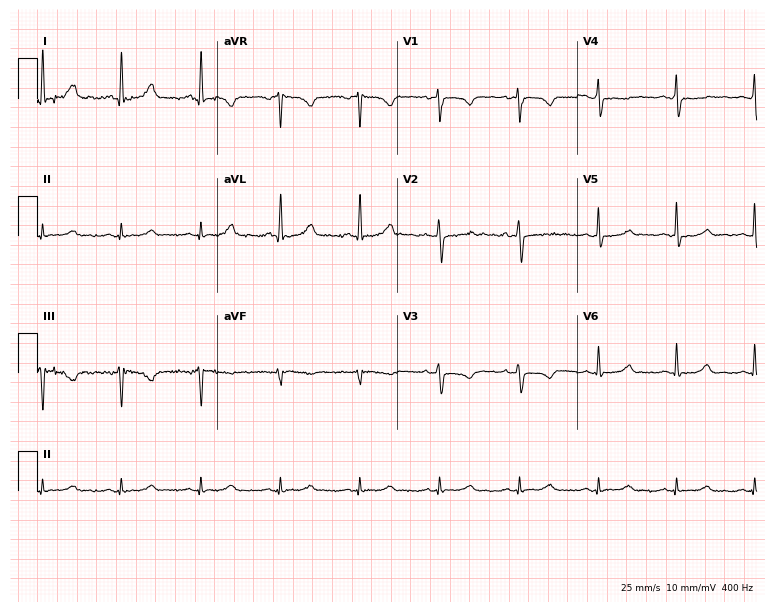
ECG (7.3-second recording at 400 Hz) — a female, 50 years old. Screened for six findings — first-degree AV block, right bundle branch block (RBBB), left bundle branch block (LBBB), sinus bradycardia, atrial fibrillation (AF), sinus tachycardia — none is recorded.